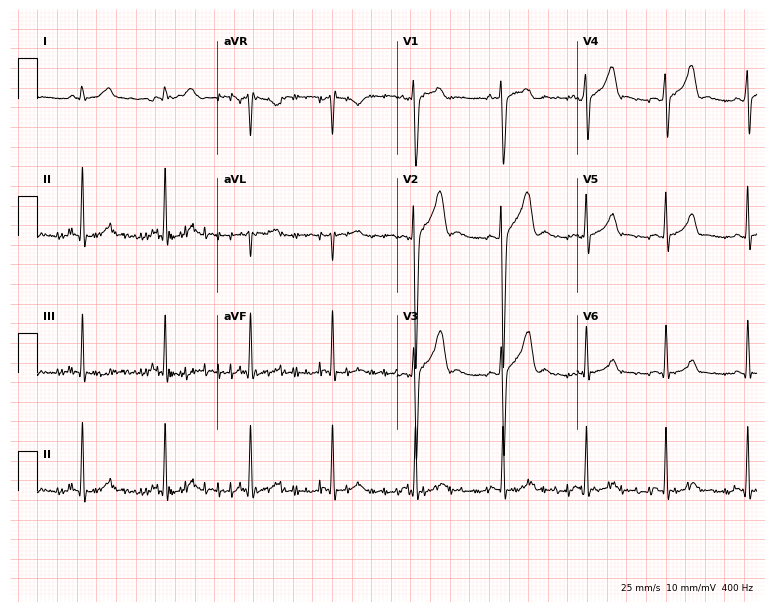
12-lead ECG from a male, 23 years old. Labelled as a normal ECG.